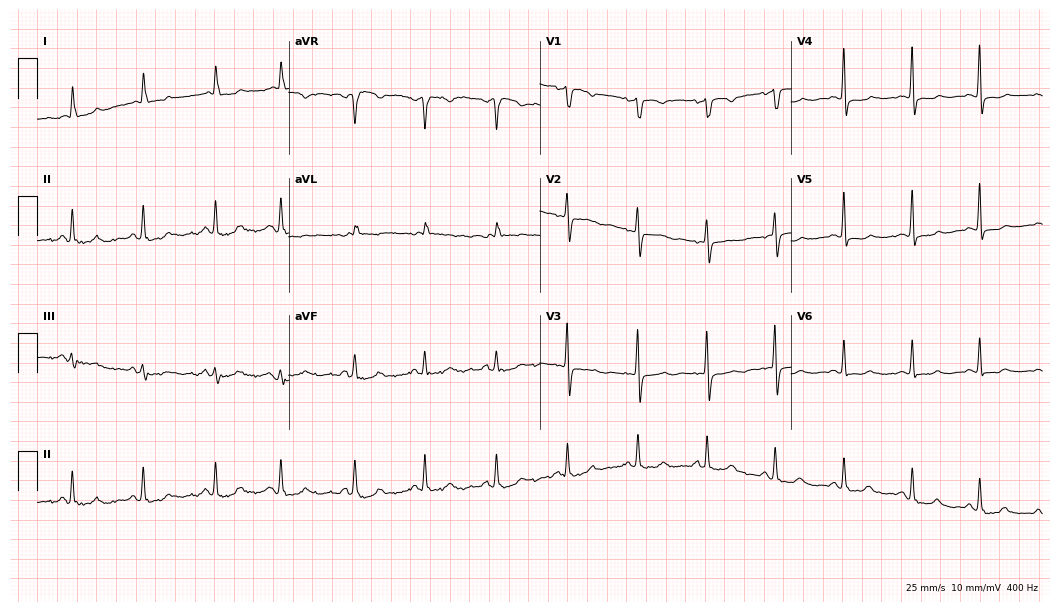
Resting 12-lead electrocardiogram (10.2-second recording at 400 Hz). Patient: a female, 83 years old. None of these six findings is recorded: first-degree AV block, right bundle branch block, left bundle branch block, sinus bradycardia, atrial fibrillation, sinus tachycardia. Only these six findings were labelled.